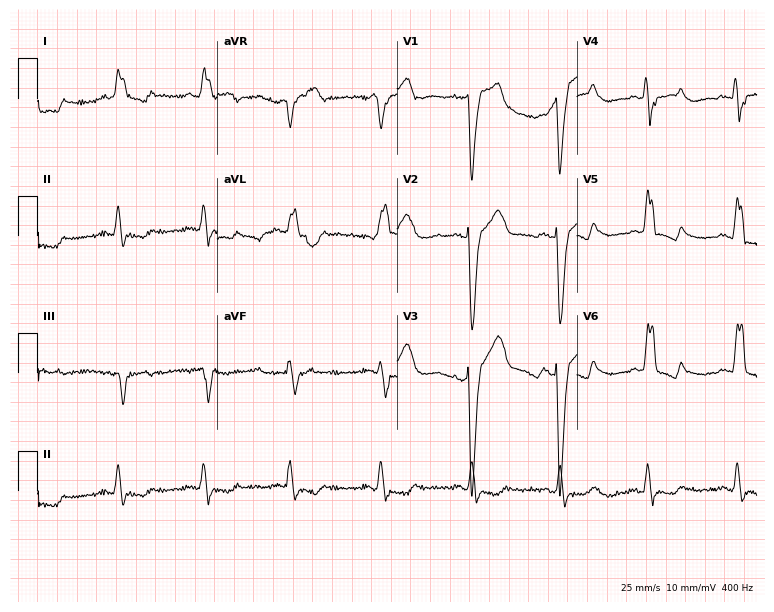
Electrocardiogram, a 57-year-old female. Interpretation includes left bundle branch block (LBBB).